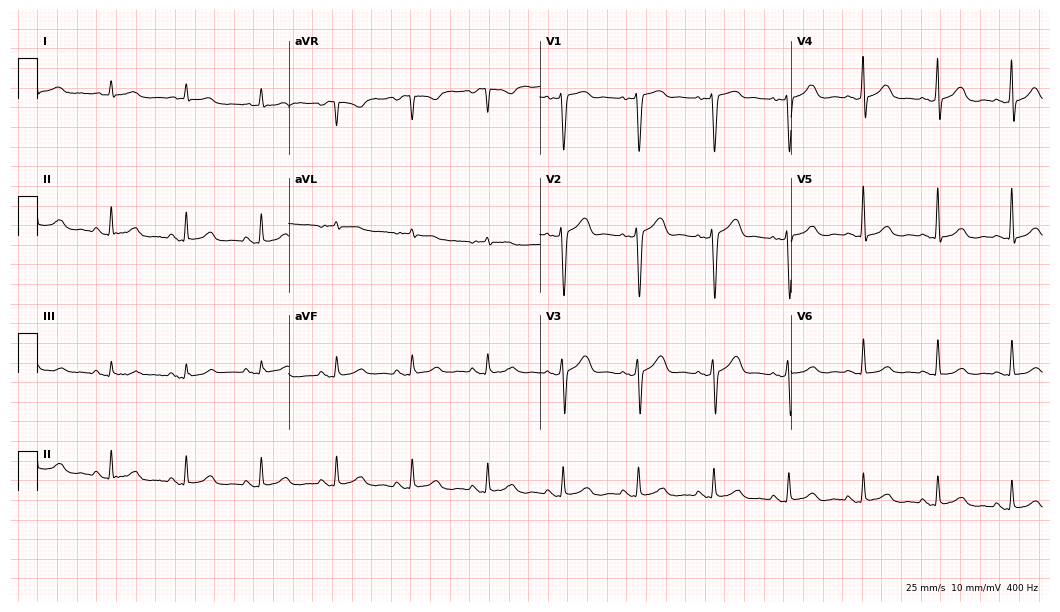
Standard 12-lead ECG recorded from a man, 58 years old (10.2-second recording at 400 Hz). Read as a normal ECG.